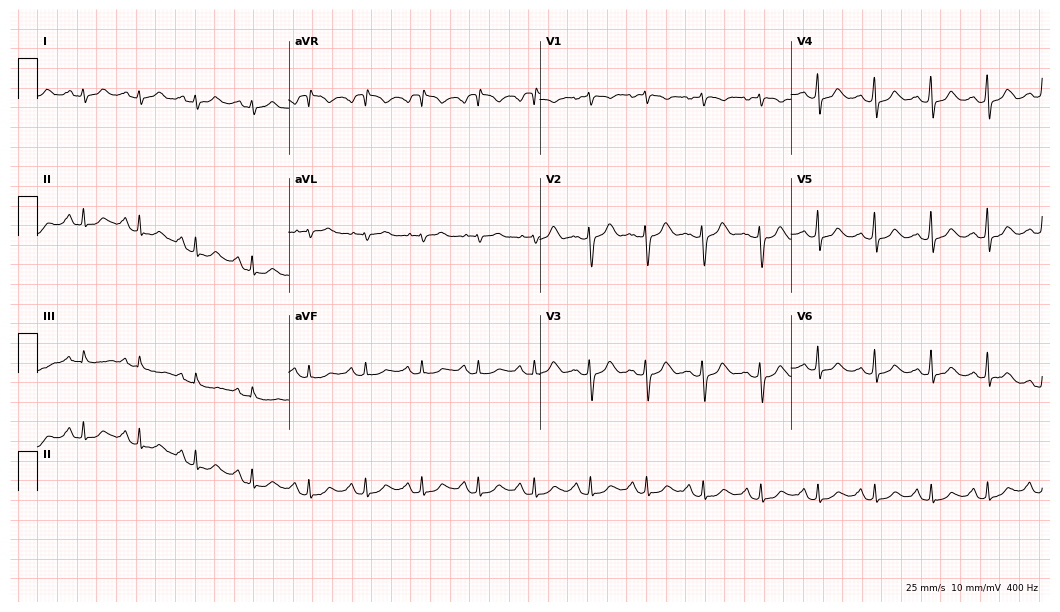
12-lead ECG from a 43-year-old female. Shows sinus tachycardia (a sinus rate of 100 beats per minute or more).